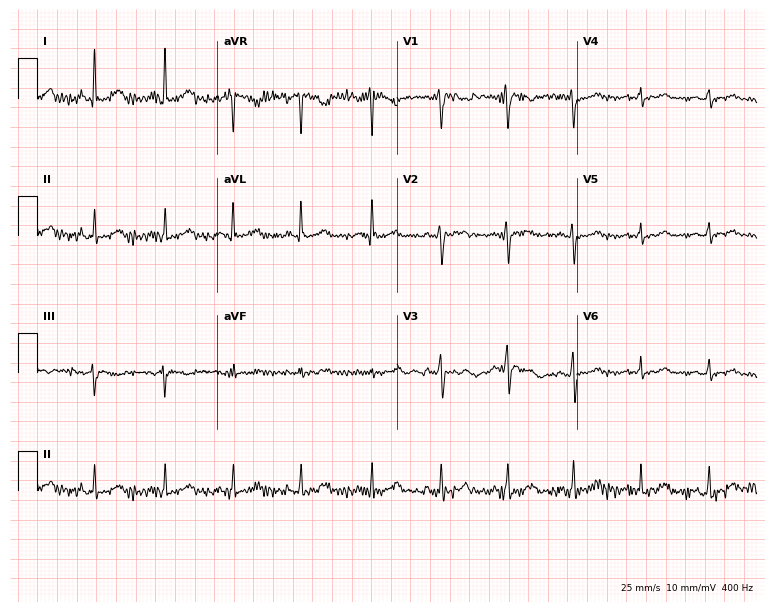
Resting 12-lead electrocardiogram. Patient: a female, 43 years old. Read as a normal ECG.